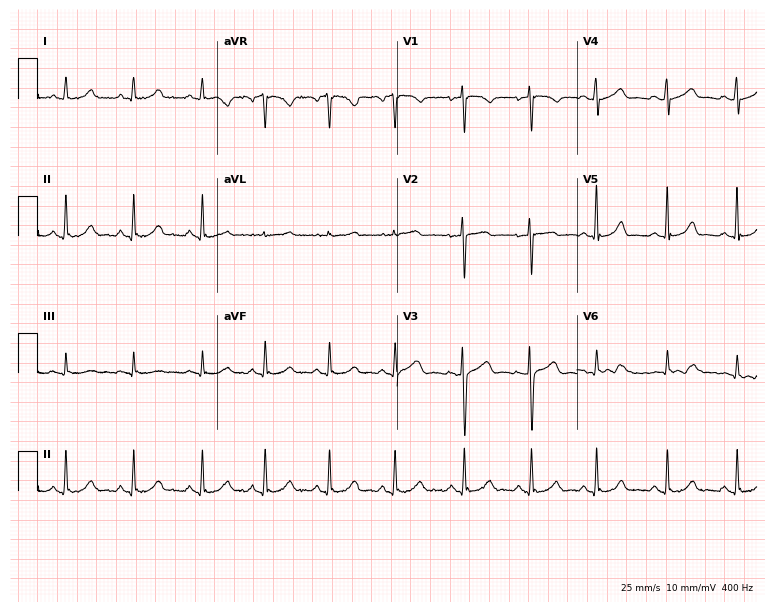
12-lead ECG from a female patient, 29 years old. Recorded interpretation: within normal limits.